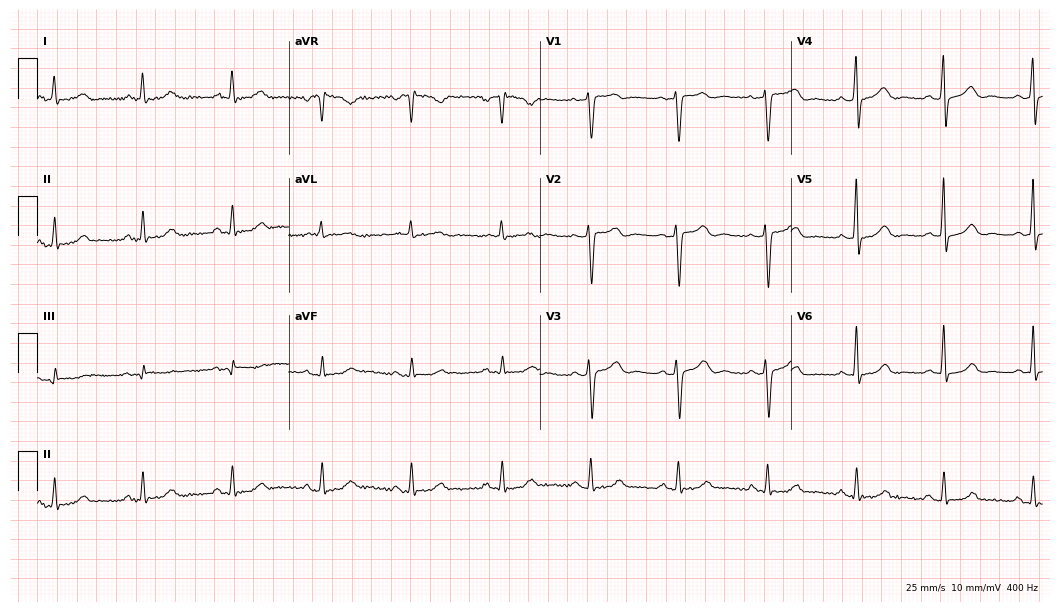
12-lead ECG from a woman, 72 years old. Recorded interpretation: within normal limits.